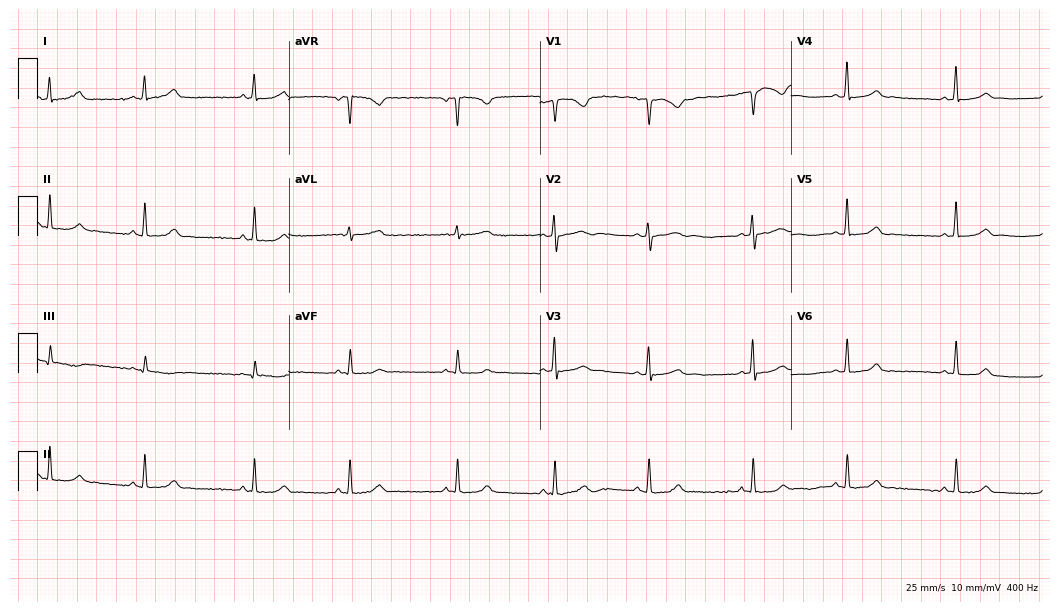
Electrocardiogram (10.2-second recording at 400 Hz), a 25-year-old female. Overall reading on record: normal ECG.